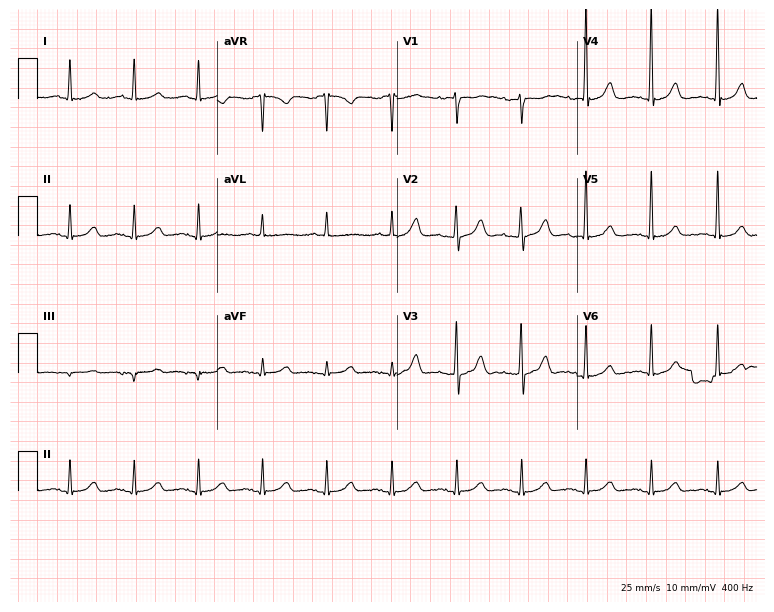
Resting 12-lead electrocardiogram (7.3-second recording at 400 Hz). Patient: a 78-year-old woman. Read as a normal ECG.